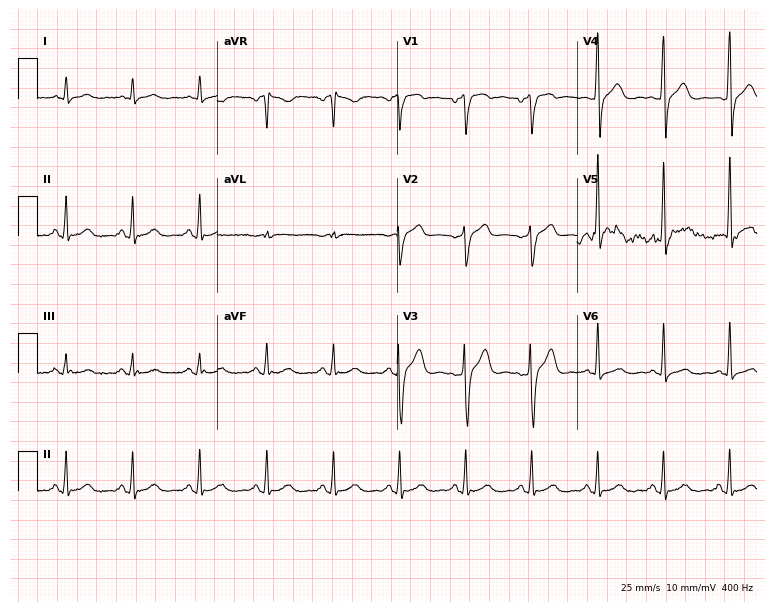
Standard 12-lead ECG recorded from a male, 60 years old. None of these six findings is recorded: first-degree AV block, right bundle branch block, left bundle branch block, sinus bradycardia, atrial fibrillation, sinus tachycardia. Other findings, if any, are not listed.